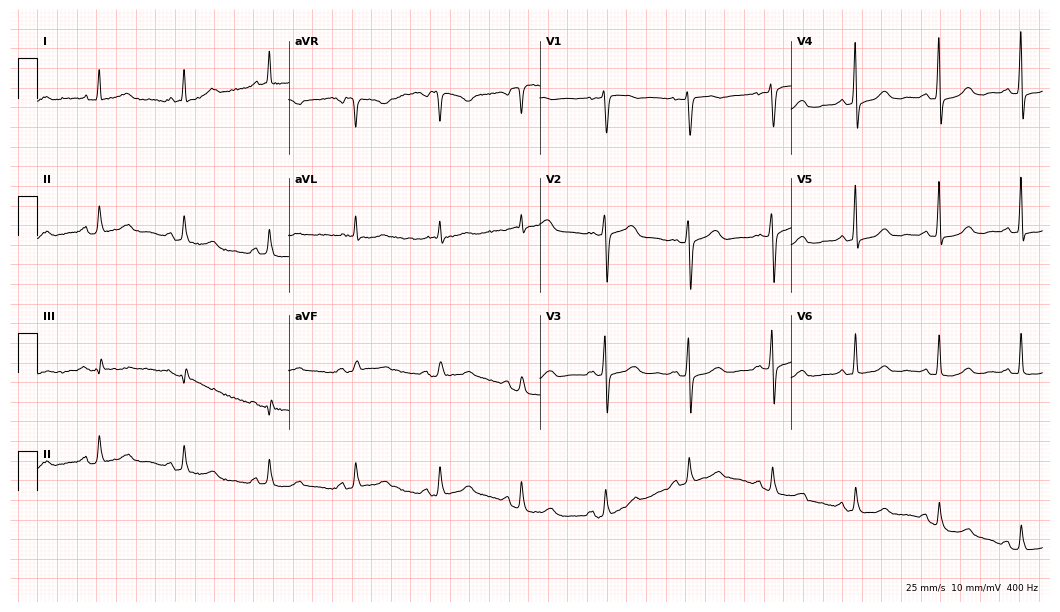
Standard 12-lead ECG recorded from a 71-year-old woman. Read as a normal ECG.